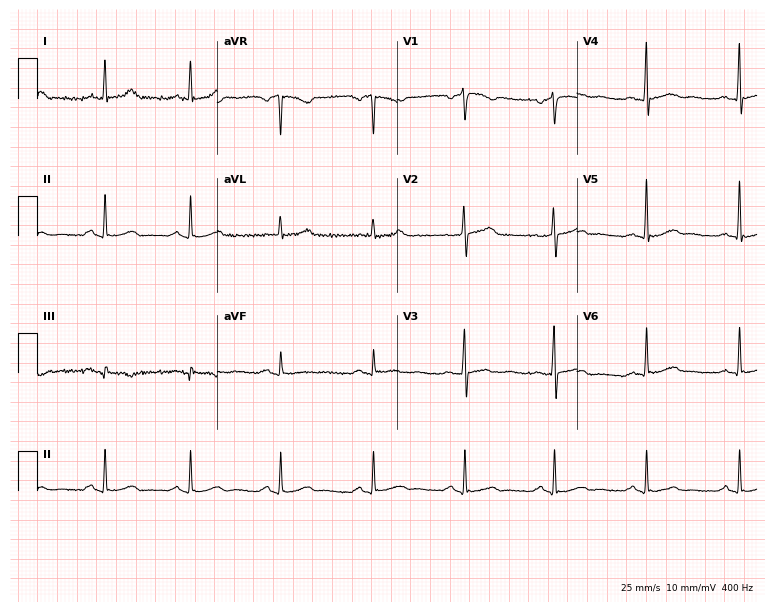
12-lead ECG from a 63-year-old man. Recorded interpretation: within normal limits.